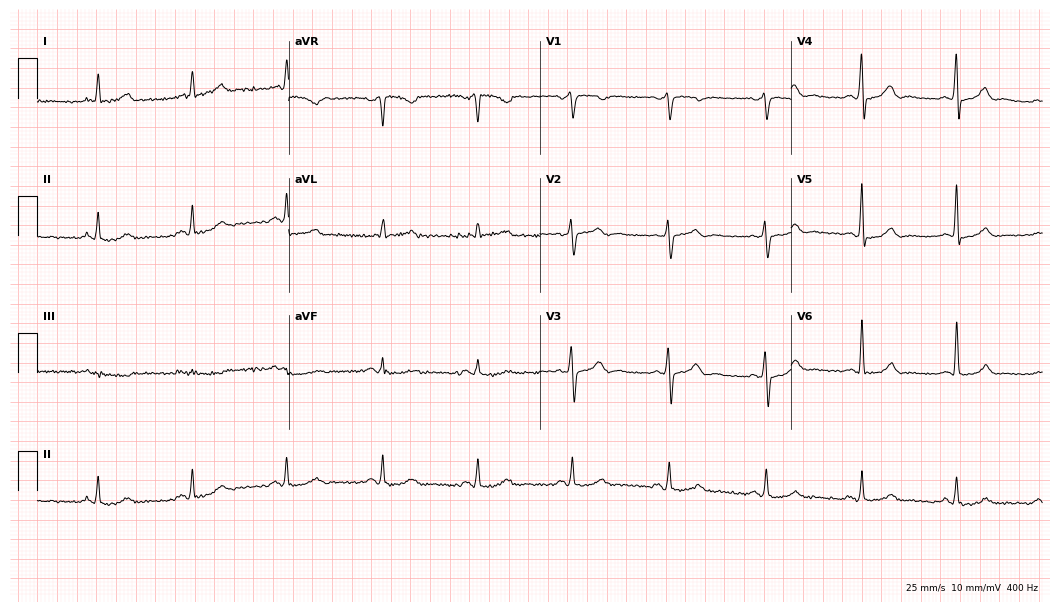
Resting 12-lead electrocardiogram. Patient: a male, 55 years old. None of these six findings is recorded: first-degree AV block, right bundle branch block (RBBB), left bundle branch block (LBBB), sinus bradycardia, atrial fibrillation (AF), sinus tachycardia. Only these six findings were labelled.